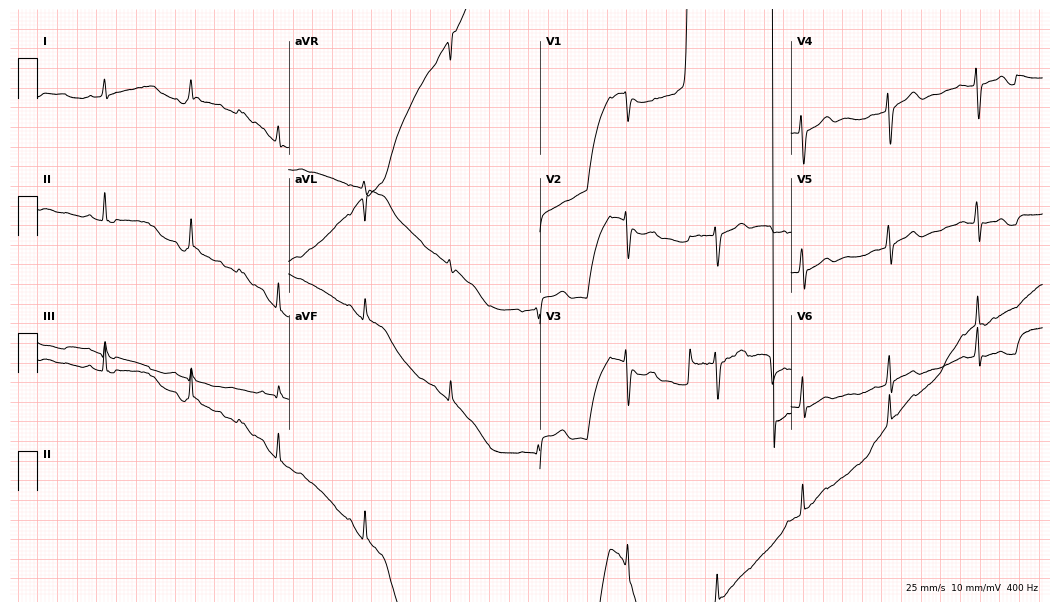
12-lead ECG (10.2-second recording at 400 Hz) from a male patient, 61 years old. Screened for six findings — first-degree AV block, right bundle branch block, left bundle branch block, sinus bradycardia, atrial fibrillation, sinus tachycardia — none is recorded.